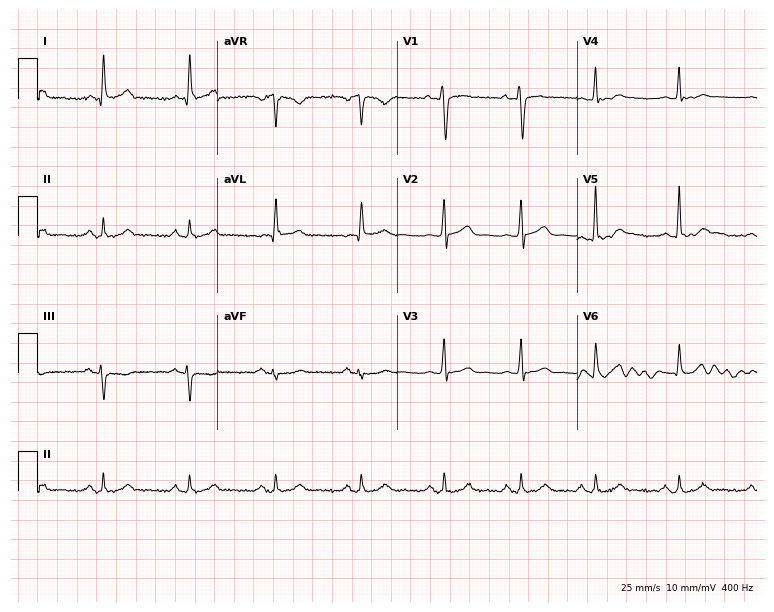
12-lead ECG from a 42-year-old male. No first-degree AV block, right bundle branch block, left bundle branch block, sinus bradycardia, atrial fibrillation or sinus tachycardia recorded for this tracing. Only these six findings were labelled.